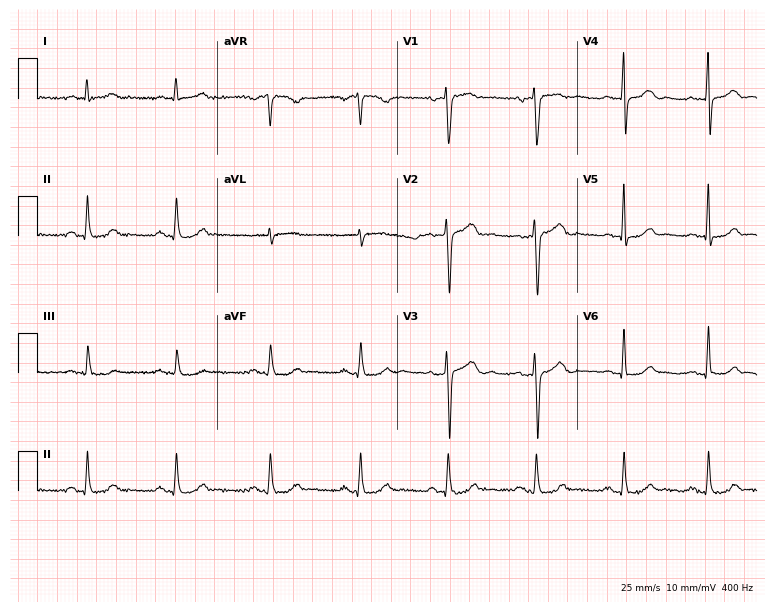
12-lead ECG (7.3-second recording at 400 Hz) from a 65-year-old man. Labelled as a normal ECG.